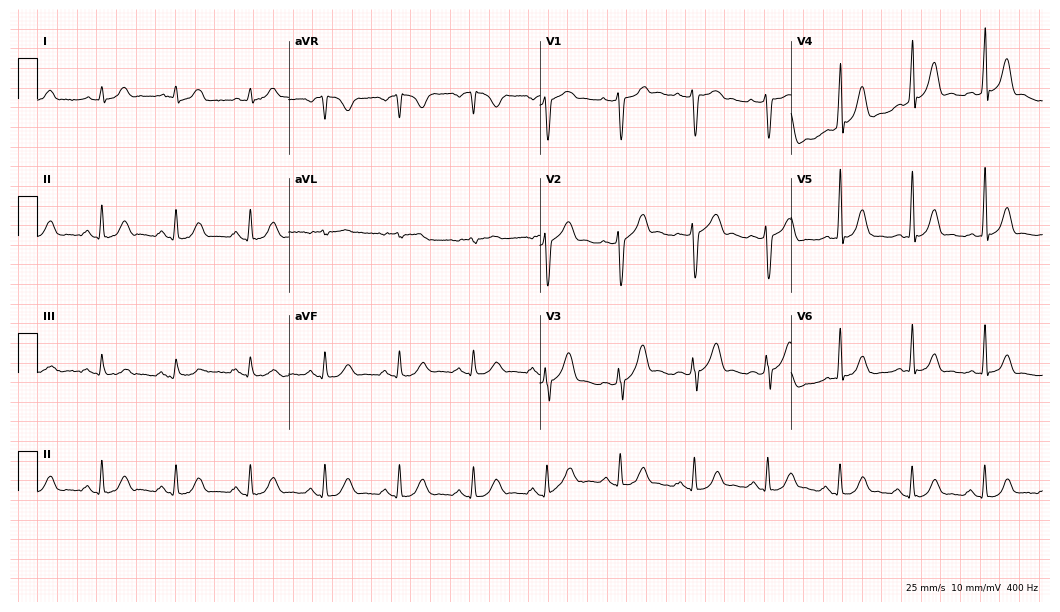
12-lead ECG from a man, 65 years old. Recorded interpretation: within normal limits.